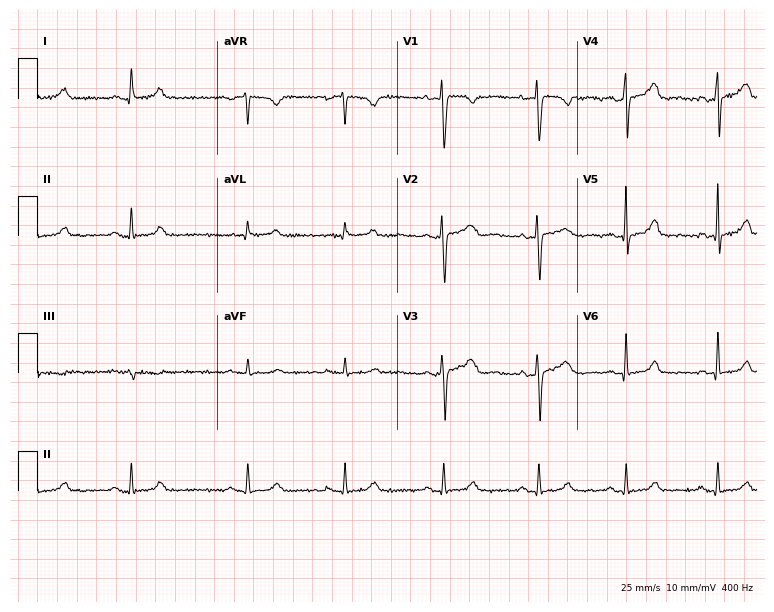
12-lead ECG from a male, 33 years old. No first-degree AV block, right bundle branch block (RBBB), left bundle branch block (LBBB), sinus bradycardia, atrial fibrillation (AF) or sinus tachycardia recorded for this tracing. Findings outside these six are not listed.